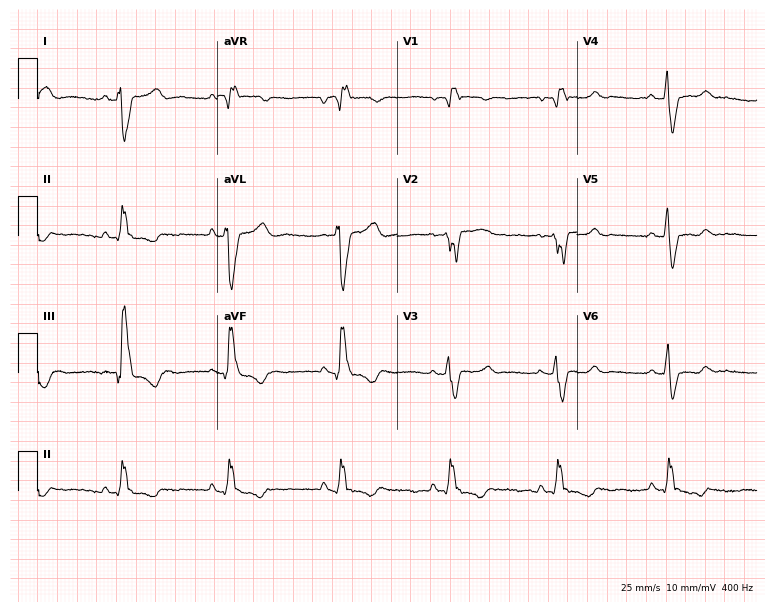
Electrocardiogram, a 36-year-old female. Interpretation includes right bundle branch block (RBBB).